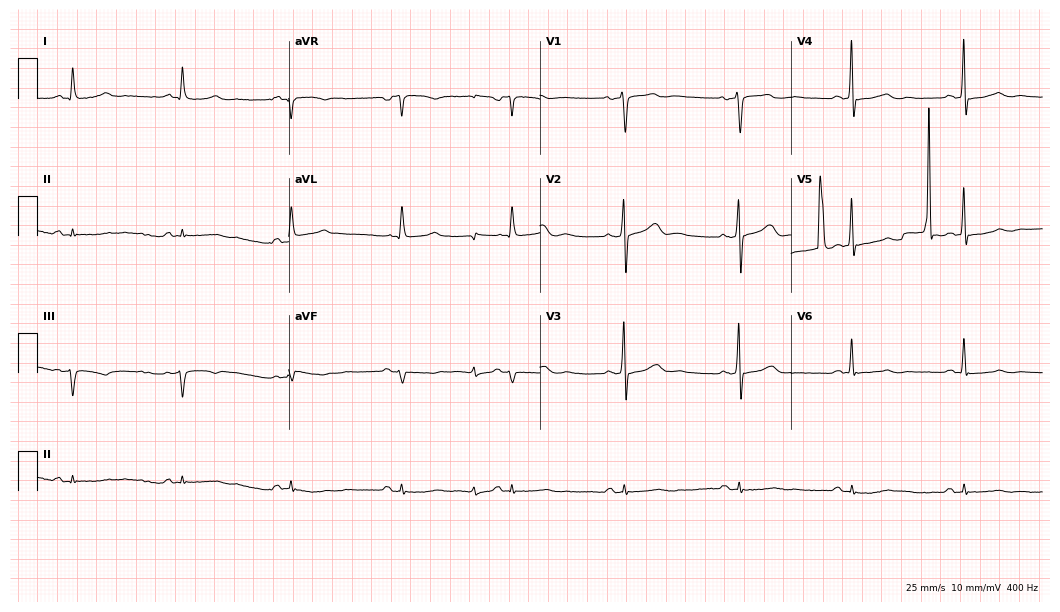
Standard 12-lead ECG recorded from a male, 63 years old (10.2-second recording at 400 Hz). None of these six findings is recorded: first-degree AV block, right bundle branch block (RBBB), left bundle branch block (LBBB), sinus bradycardia, atrial fibrillation (AF), sinus tachycardia. Only these six findings were labelled.